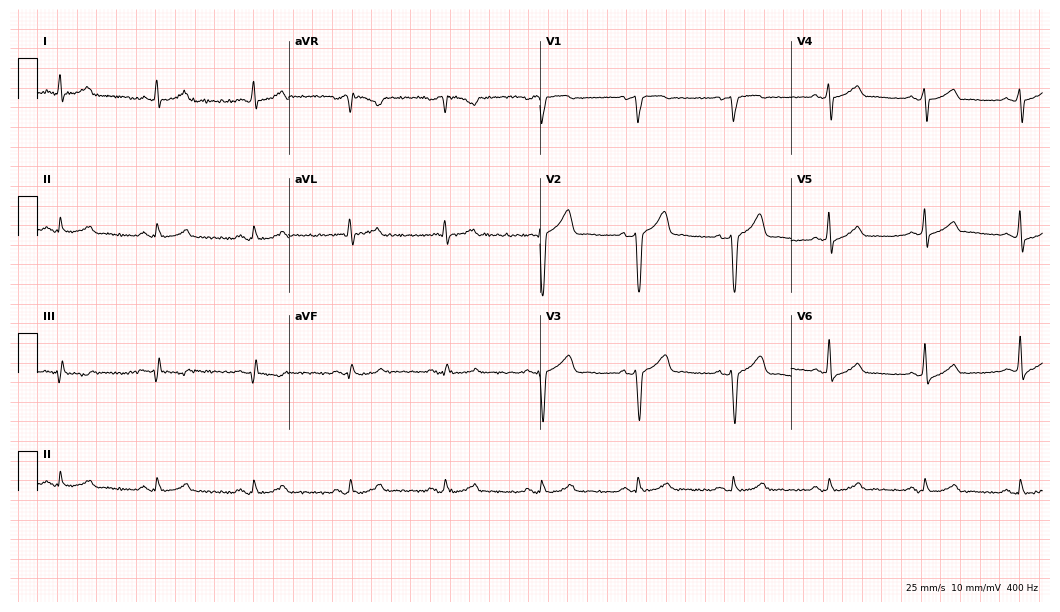
12-lead ECG (10.2-second recording at 400 Hz) from a man, 51 years old. Screened for six findings — first-degree AV block, right bundle branch block, left bundle branch block, sinus bradycardia, atrial fibrillation, sinus tachycardia — none is recorded. Other findings, if any, are not listed.